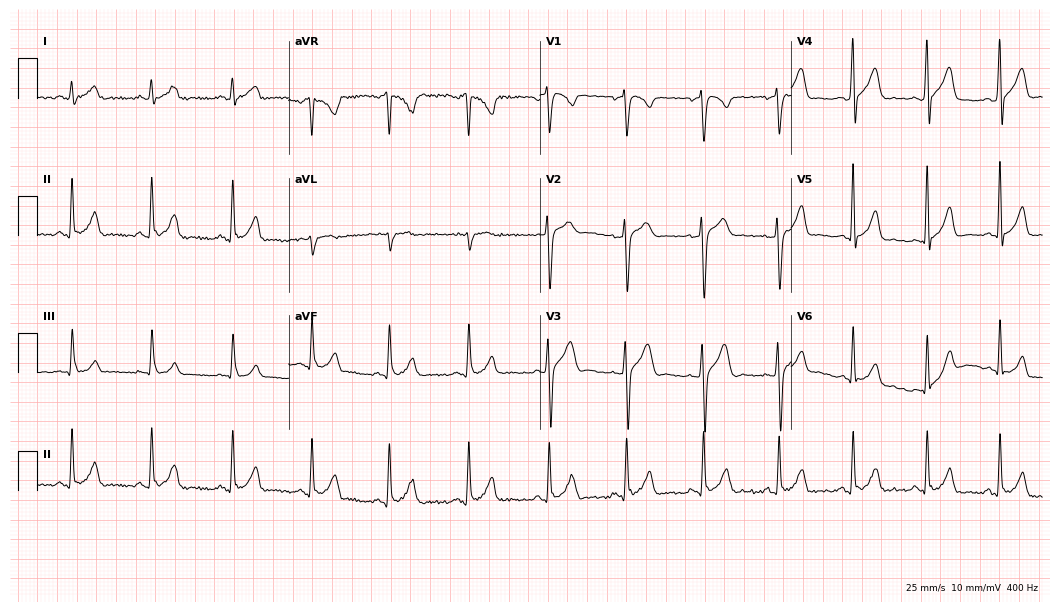
Electrocardiogram, a man, 23 years old. Overall reading on record: normal ECG.